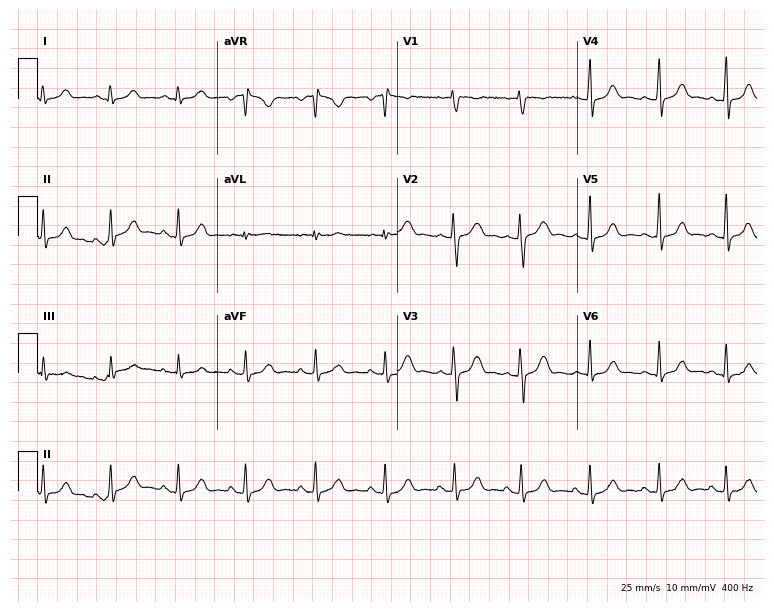
12-lead ECG (7.3-second recording at 400 Hz) from a woman, 23 years old. Labelled as a normal ECG.